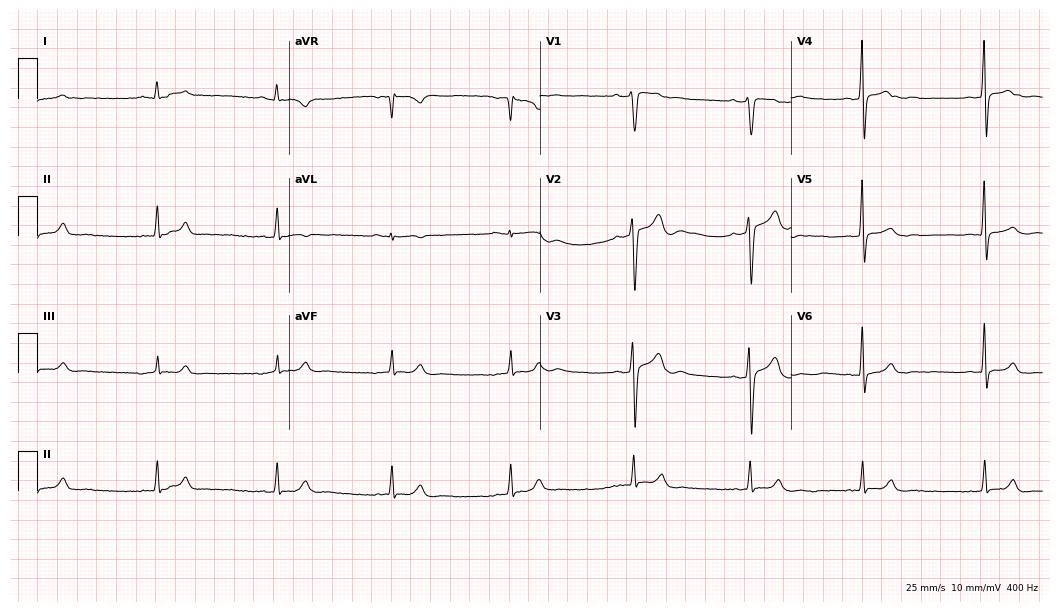
12-lead ECG from a 24-year-old male patient (10.2-second recording at 400 Hz). Recorded interpretation: within normal limits.